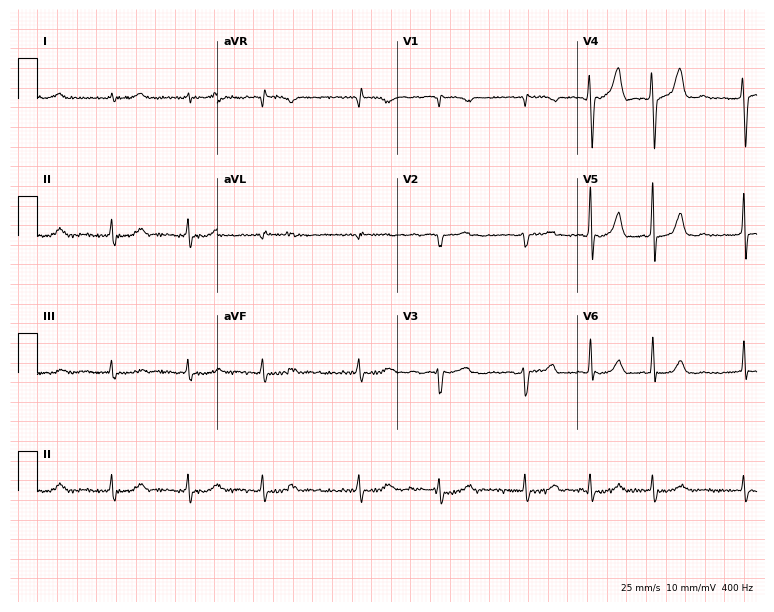
12-lead ECG (7.3-second recording at 400 Hz) from a 78-year-old man. Findings include atrial fibrillation.